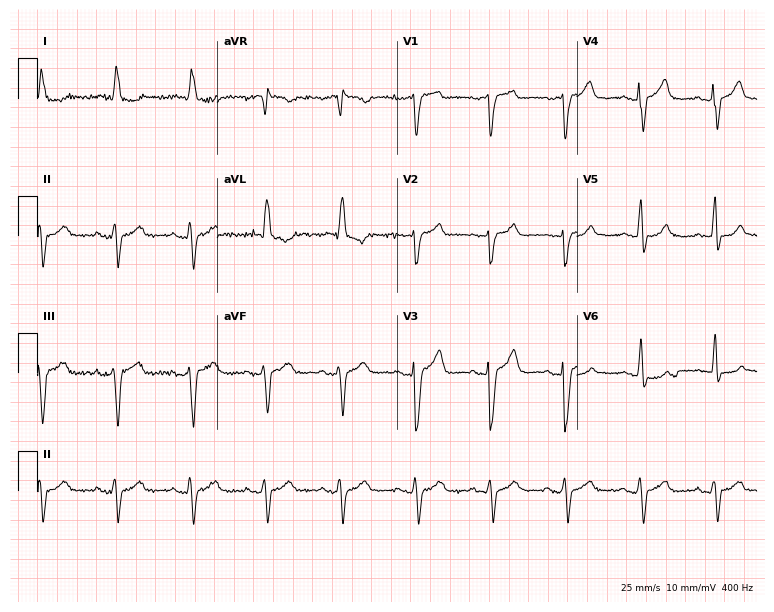
ECG — a 78-year-old female. Screened for six findings — first-degree AV block, right bundle branch block, left bundle branch block, sinus bradycardia, atrial fibrillation, sinus tachycardia — none is recorded.